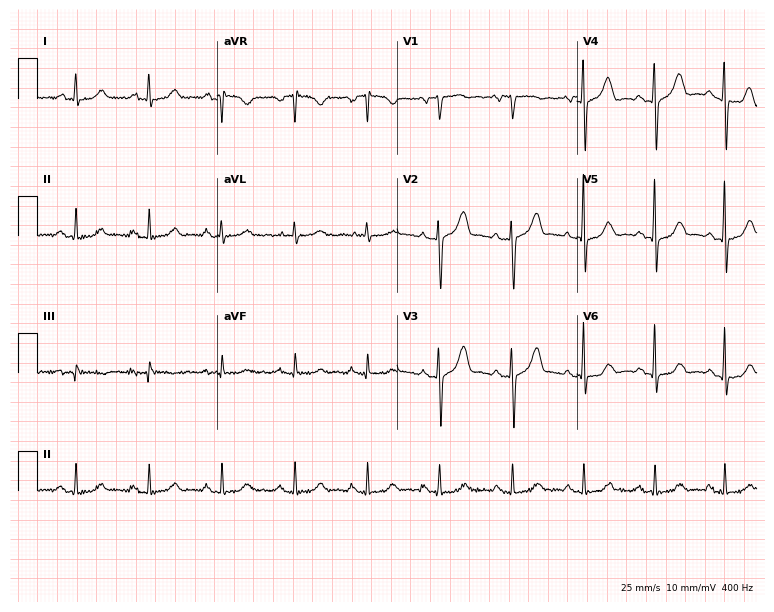
Standard 12-lead ECG recorded from a male, 67 years old (7.3-second recording at 400 Hz). None of these six findings is recorded: first-degree AV block, right bundle branch block (RBBB), left bundle branch block (LBBB), sinus bradycardia, atrial fibrillation (AF), sinus tachycardia. Findings outside these six are not listed.